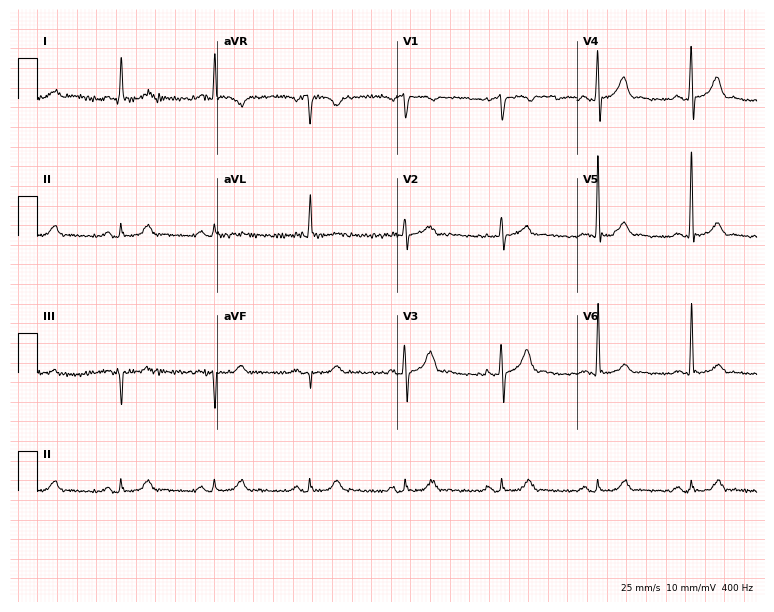
12-lead ECG from a man, 57 years old. Labelled as a normal ECG.